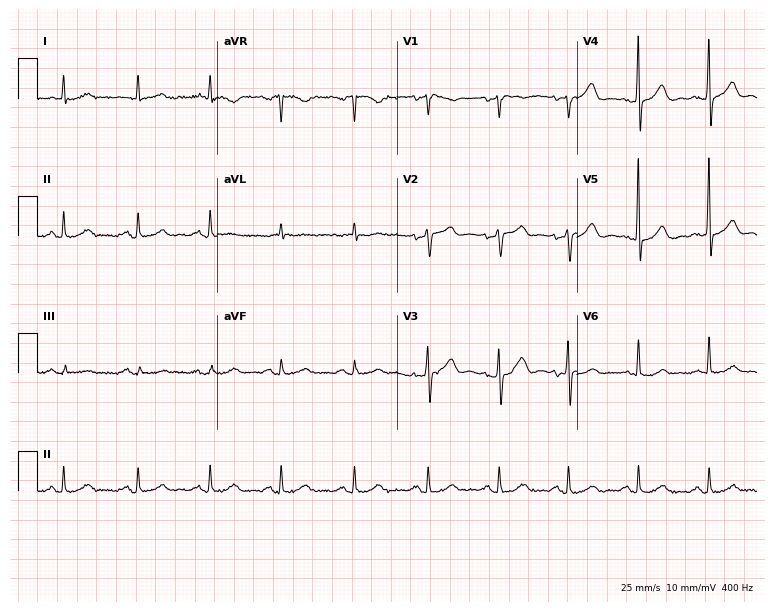
12-lead ECG from a man, 78 years old. No first-degree AV block, right bundle branch block (RBBB), left bundle branch block (LBBB), sinus bradycardia, atrial fibrillation (AF) or sinus tachycardia recorded for this tracing.